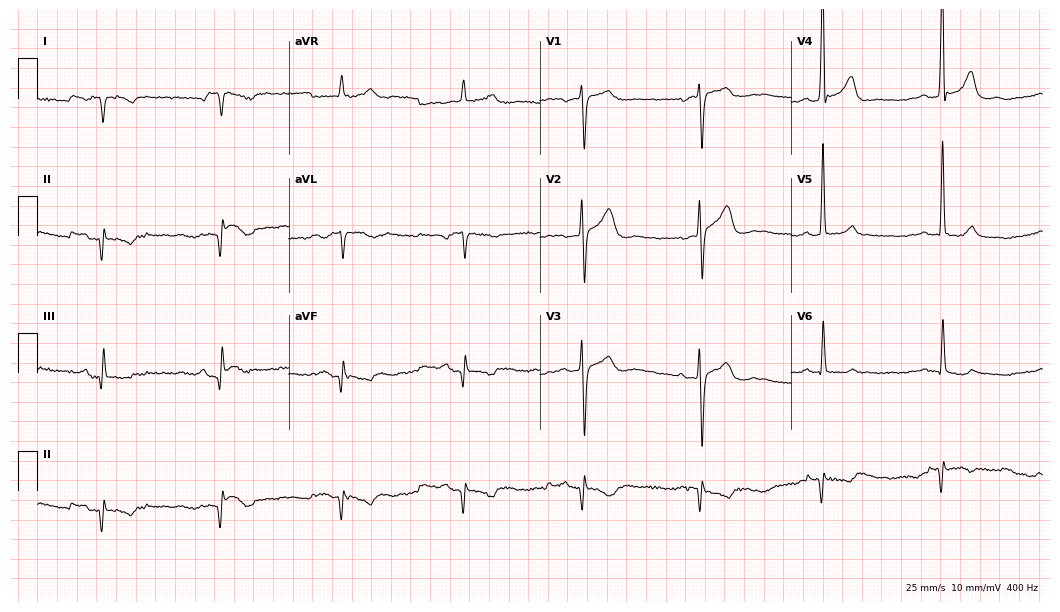
Electrocardiogram (10.2-second recording at 400 Hz), a man, 64 years old. Of the six screened findings (first-degree AV block, right bundle branch block, left bundle branch block, sinus bradycardia, atrial fibrillation, sinus tachycardia), none is recorded. Findings outside these six are not listed.